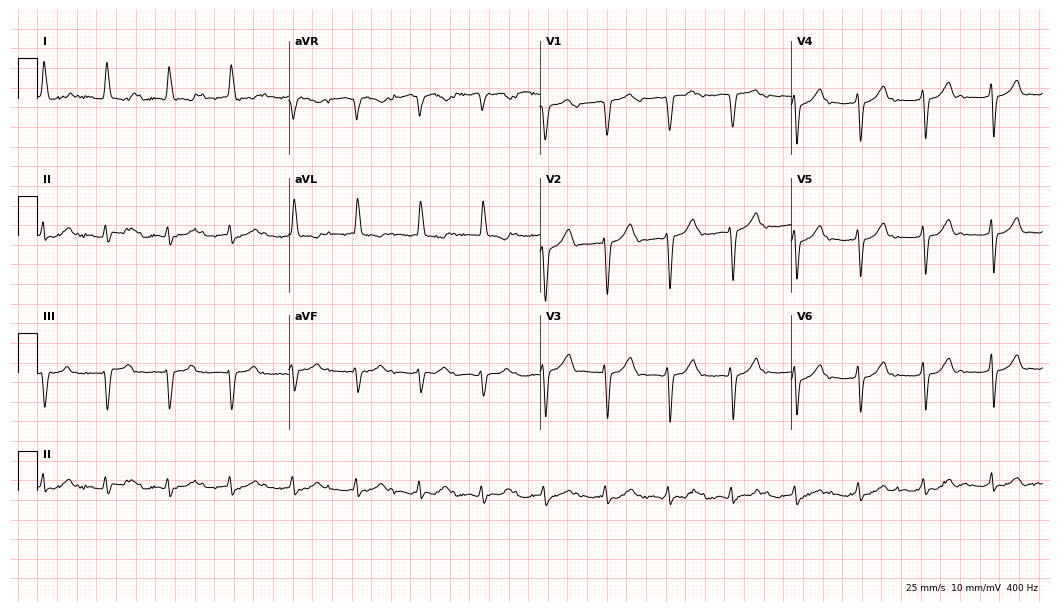
12-lead ECG from a female patient, 77 years old (10.2-second recording at 400 Hz). Shows first-degree AV block.